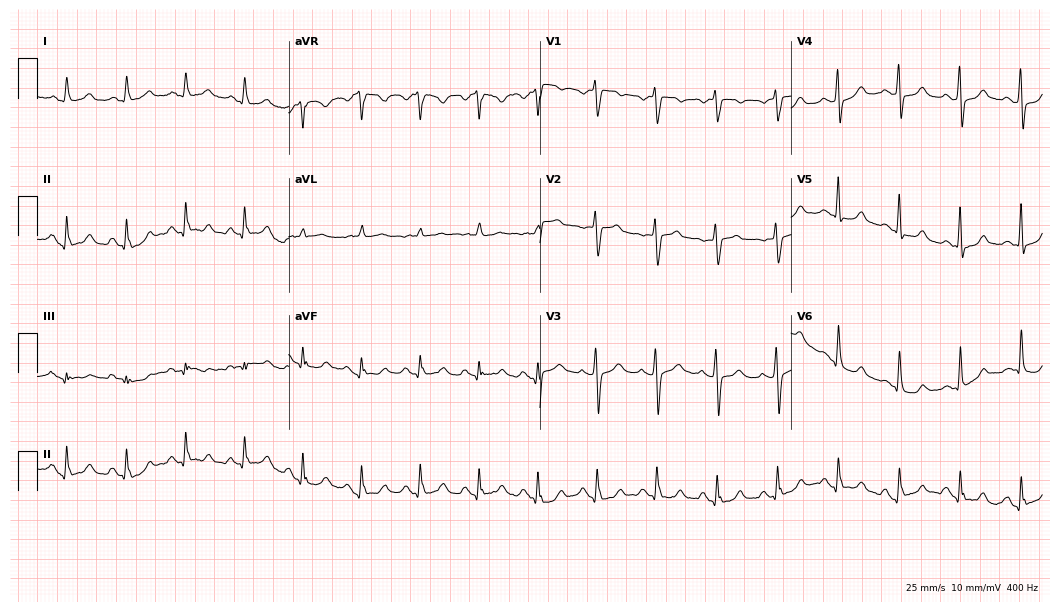
12-lead ECG from a 61-year-old woman. Screened for six findings — first-degree AV block, right bundle branch block, left bundle branch block, sinus bradycardia, atrial fibrillation, sinus tachycardia — none is recorded.